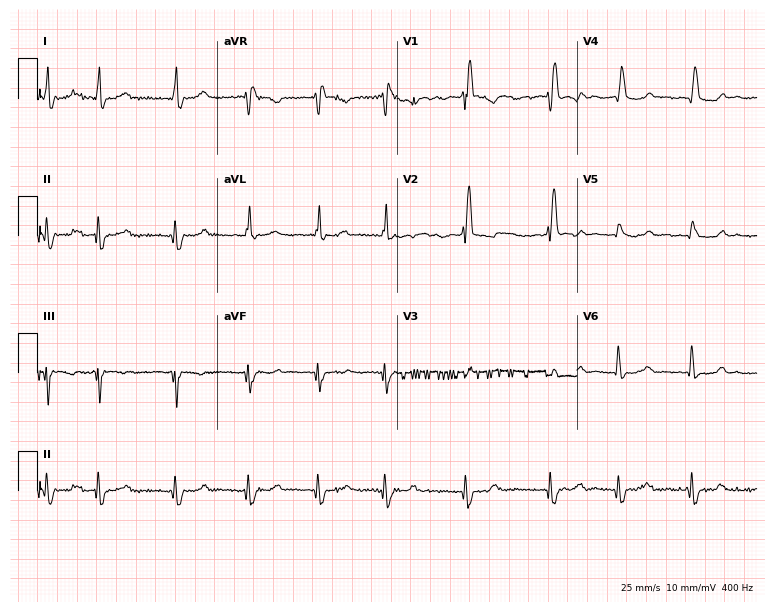
12-lead ECG (7.3-second recording at 400 Hz) from a 73-year-old female patient. Findings include atrial fibrillation.